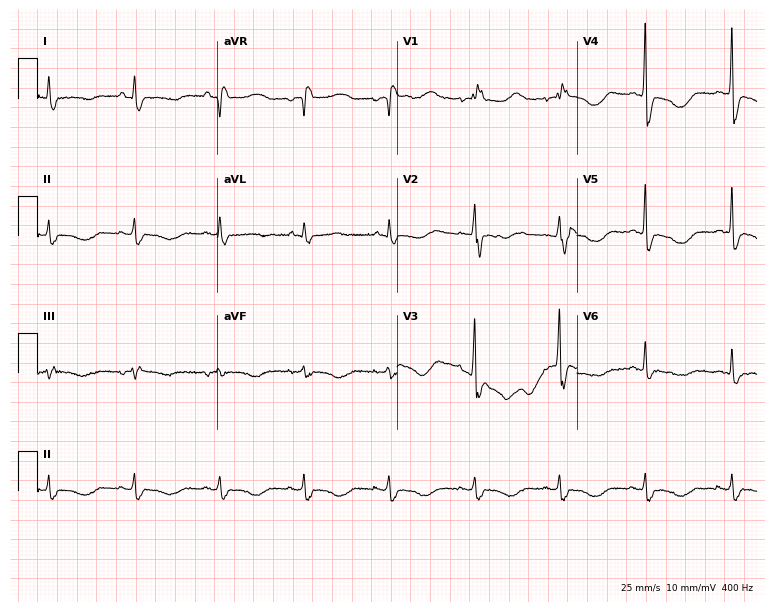
12-lead ECG from a 61-year-old female. No first-degree AV block, right bundle branch block (RBBB), left bundle branch block (LBBB), sinus bradycardia, atrial fibrillation (AF) or sinus tachycardia recorded for this tracing.